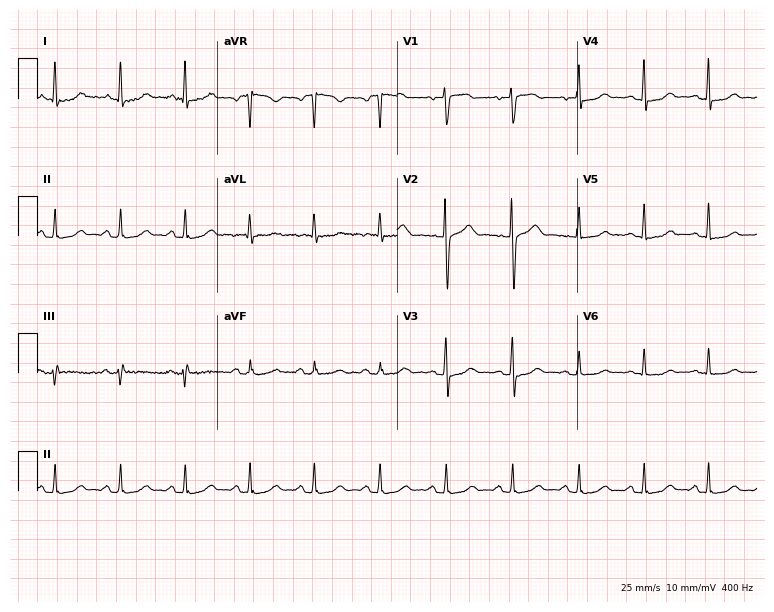
Standard 12-lead ECG recorded from a 57-year-old woman (7.3-second recording at 400 Hz). Read as a normal ECG.